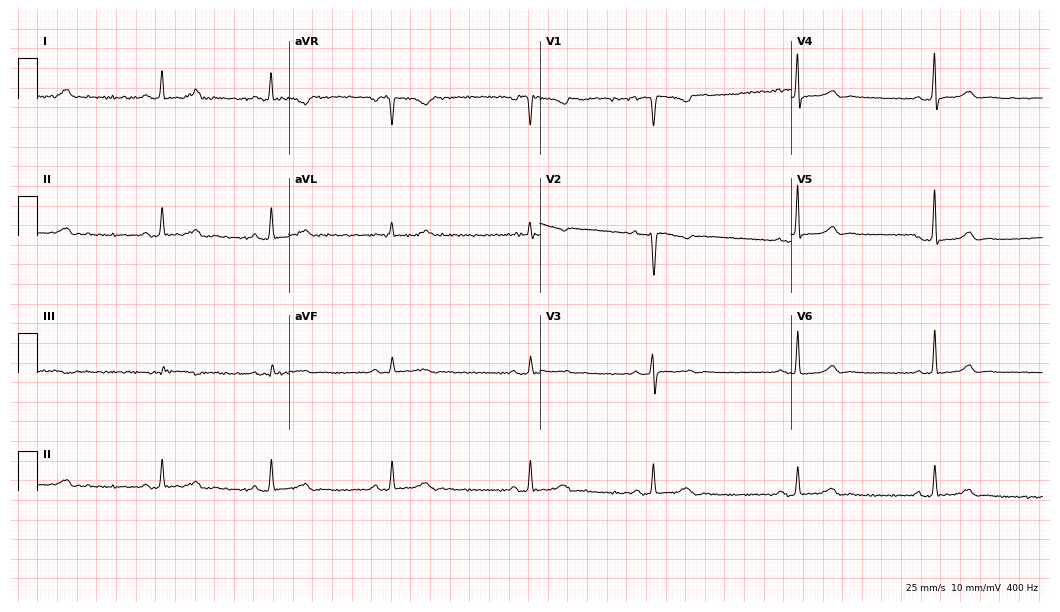
Resting 12-lead electrocardiogram (10.2-second recording at 400 Hz). Patient: a woman, 37 years old. Read as a normal ECG.